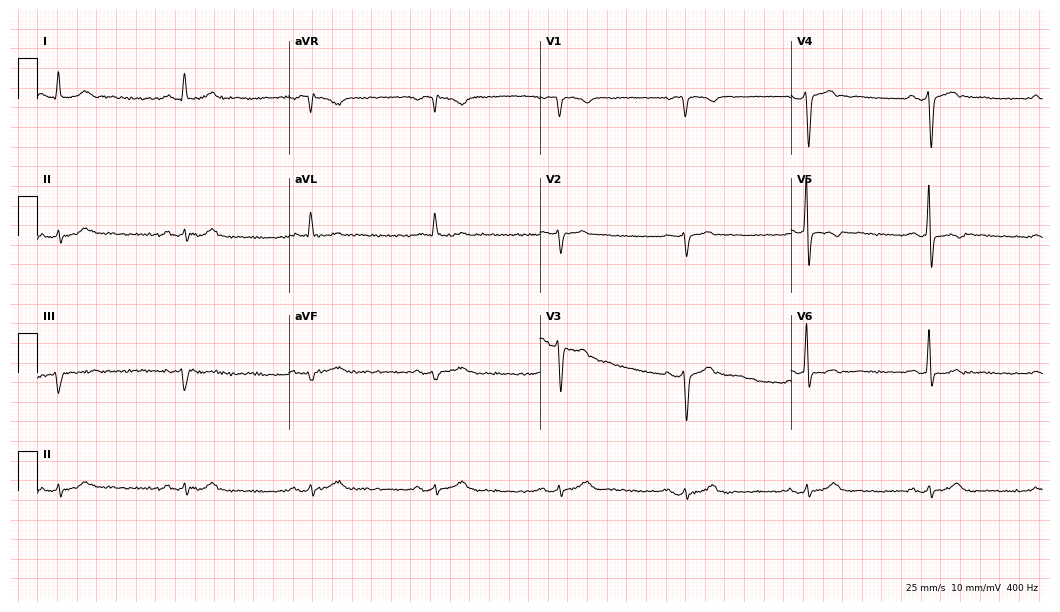
12-lead ECG (10.2-second recording at 400 Hz) from a male, 65 years old. Screened for six findings — first-degree AV block, right bundle branch block, left bundle branch block, sinus bradycardia, atrial fibrillation, sinus tachycardia — none is recorded. Only these six findings were labelled.